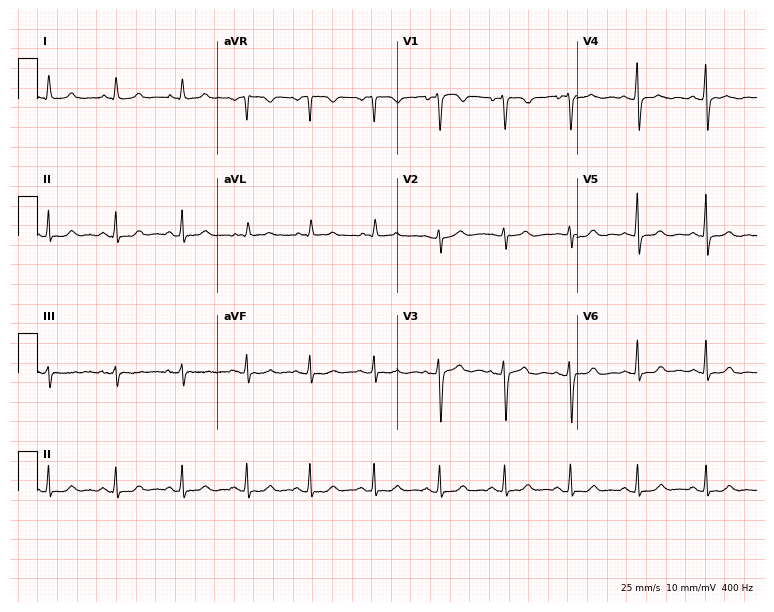
12-lead ECG (7.3-second recording at 400 Hz) from a 48-year-old female patient. Labelled as a normal ECG.